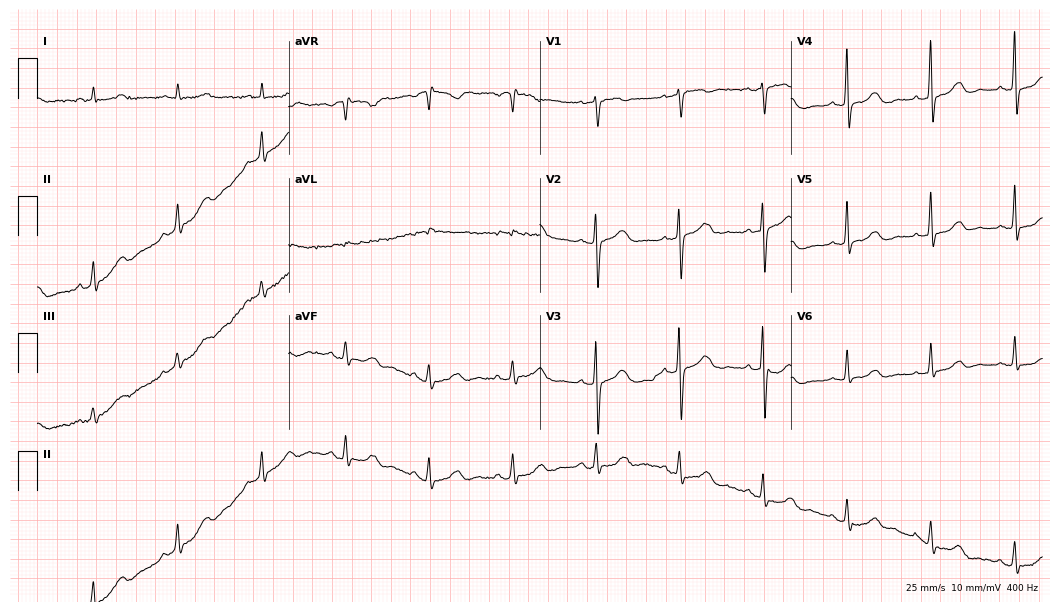
Standard 12-lead ECG recorded from a female patient, 76 years old. Read as a normal ECG.